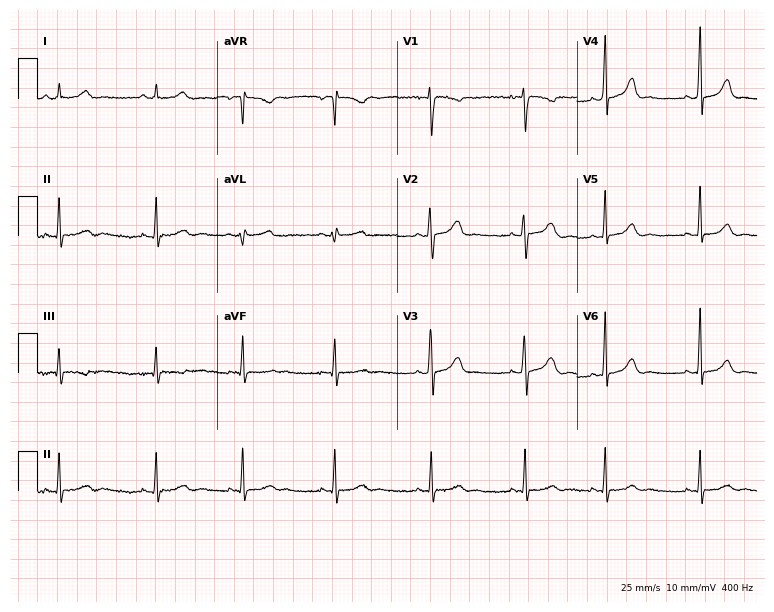
12-lead ECG from a female, 17 years old (7.3-second recording at 400 Hz). No first-degree AV block, right bundle branch block, left bundle branch block, sinus bradycardia, atrial fibrillation or sinus tachycardia recorded for this tracing.